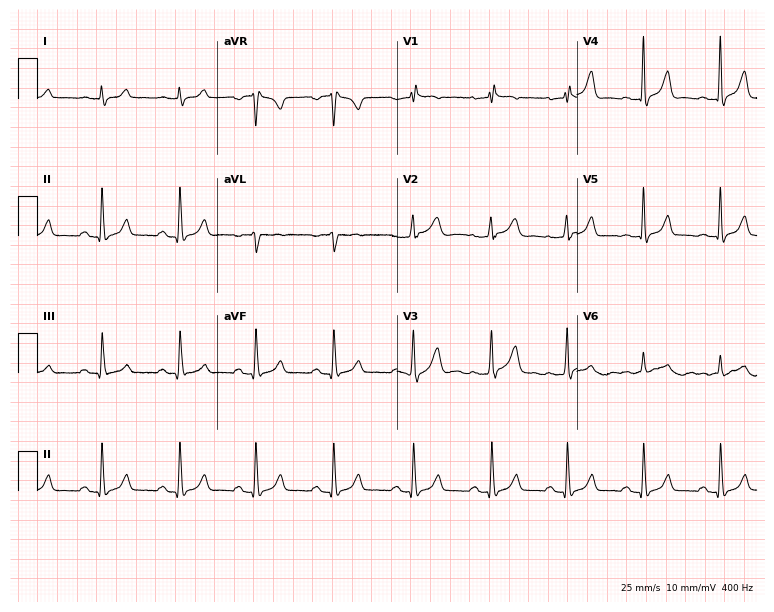
Resting 12-lead electrocardiogram (7.3-second recording at 400 Hz). Patient: a male, 75 years old. Read as a normal ECG.